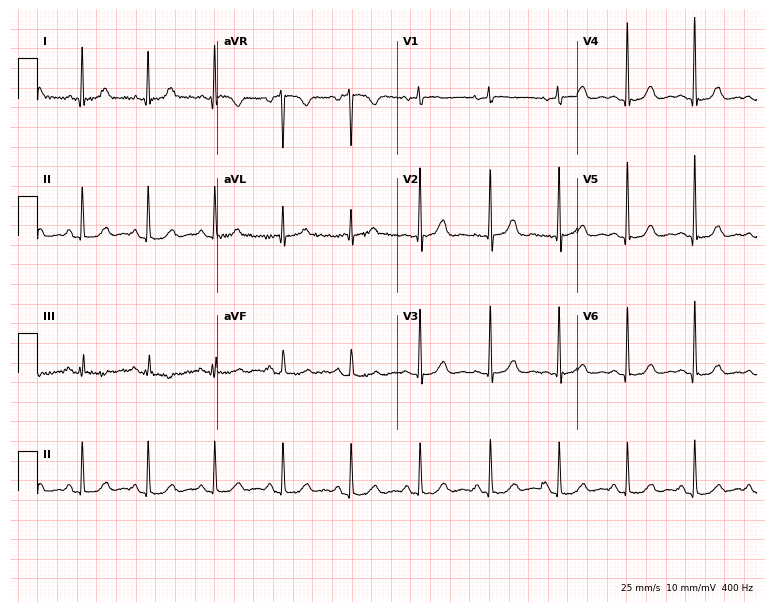
12-lead ECG from a female, 58 years old (7.3-second recording at 400 Hz). Recorded interpretation: within normal limits.